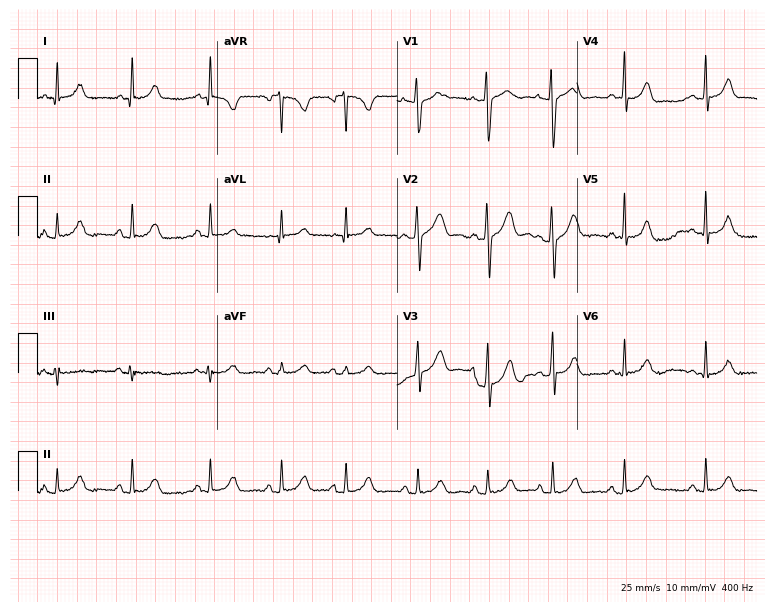
Standard 12-lead ECG recorded from a woman, 19 years old (7.3-second recording at 400 Hz). None of these six findings is recorded: first-degree AV block, right bundle branch block (RBBB), left bundle branch block (LBBB), sinus bradycardia, atrial fibrillation (AF), sinus tachycardia.